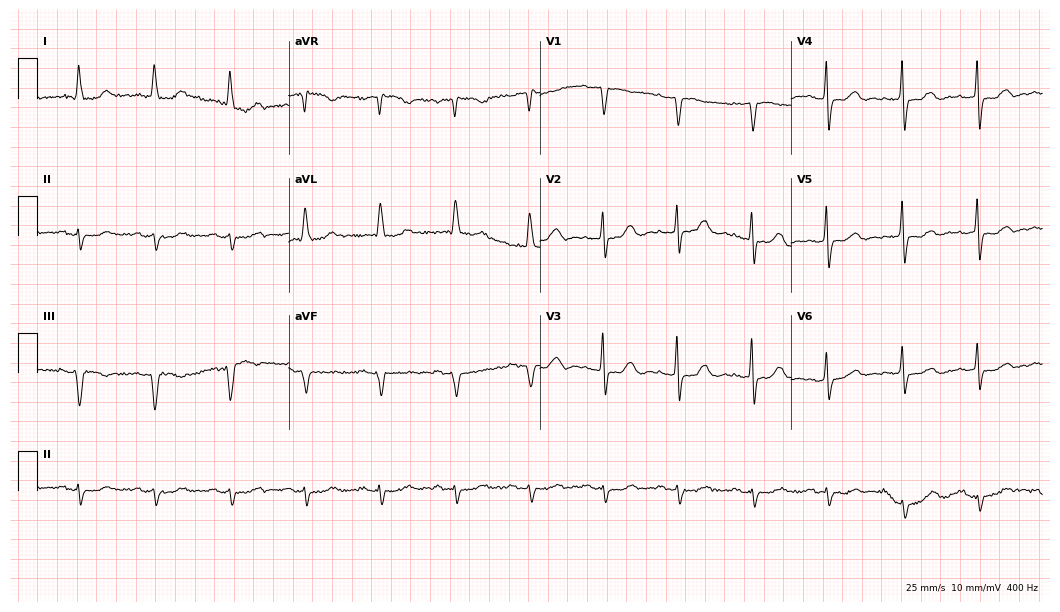
12-lead ECG from a female patient, 81 years old (10.2-second recording at 400 Hz). No first-degree AV block, right bundle branch block (RBBB), left bundle branch block (LBBB), sinus bradycardia, atrial fibrillation (AF) or sinus tachycardia recorded for this tracing. Findings outside these six are not listed.